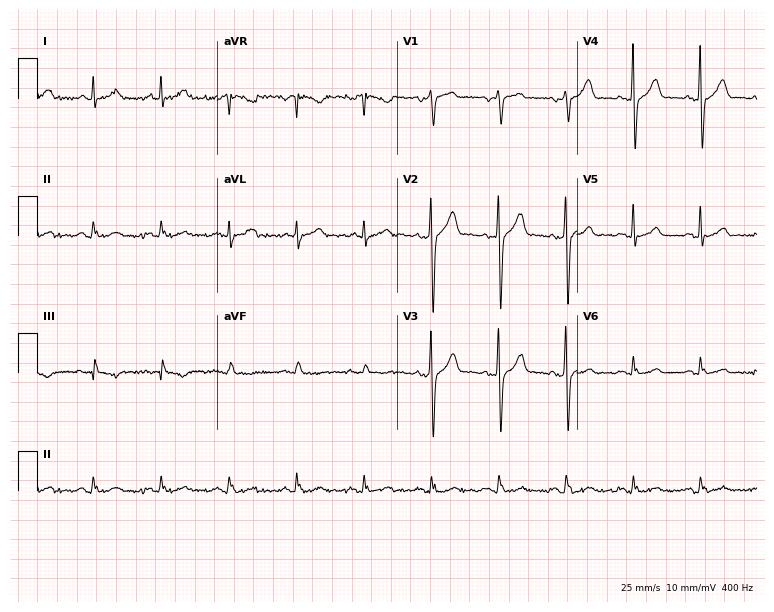
12-lead ECG (7.3-second recording at 400 Hz) from a male patient, 67 years old. Labelled as a normal ECG.